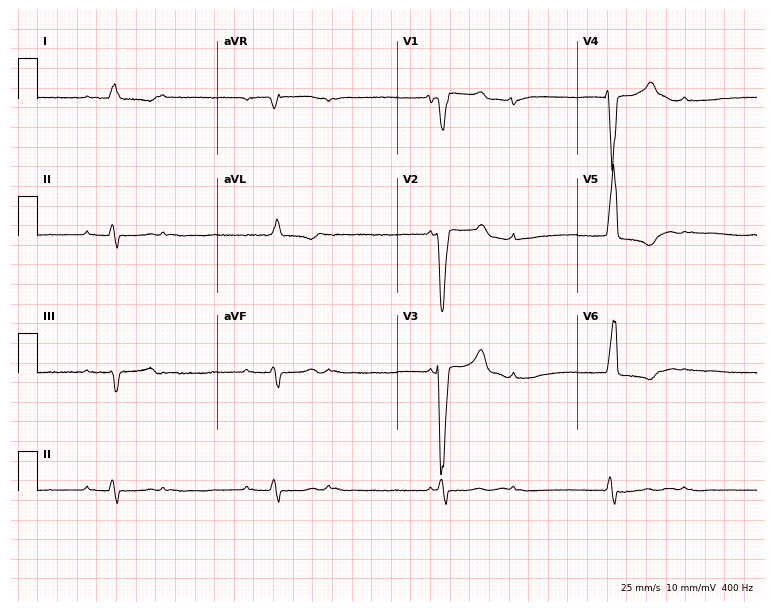
12-lead ECG from a 71-year-old woman. Findings include left bundle branch block.